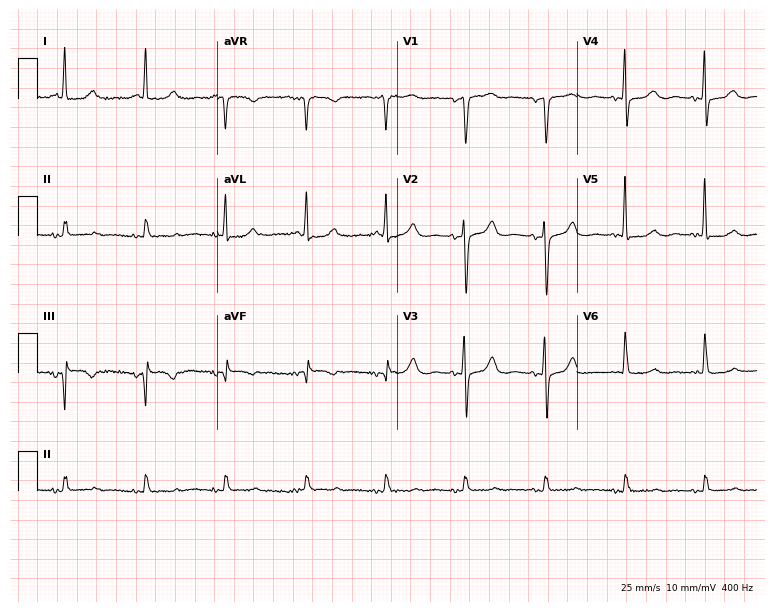
ECG (7.3-second recording at 400 Hz) — an 82-year-old female patient. Screened for six findings — first-degree AV block, right bundle branch block (RBBB), left bundle branch block (LBBB), sinus bradycardia, atrial fibrillation (AF), sinus tachycardia — none is recorded.